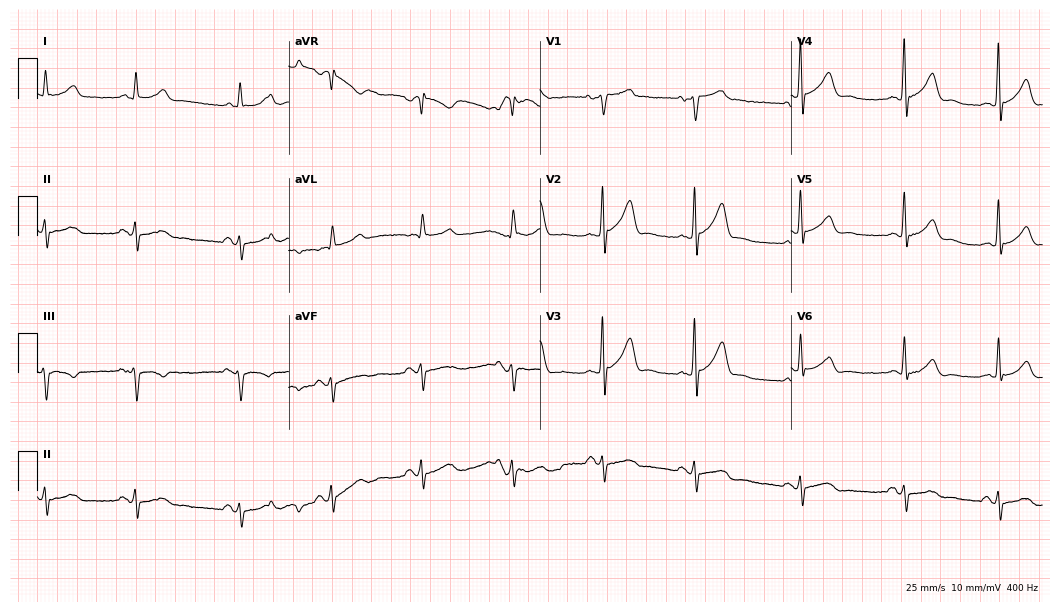
12-lead ECG from a male patient, 68 years old. Recorded interpretation: within normal limits.